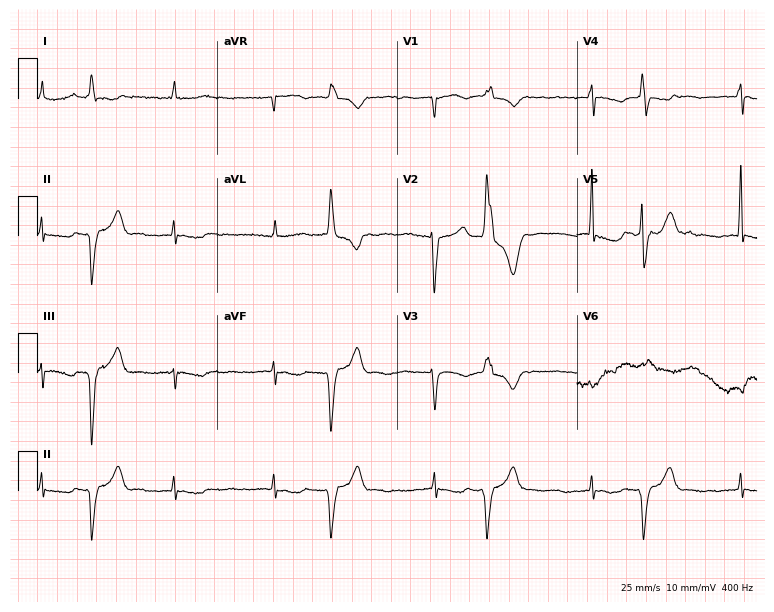
Electrocardiogram (7.3-second recording at 400 Hz), an 83-year-old female. Of the six screened findings (first-degree AV block, right bundle branch block (RBBB), left bundle branch block (LBBB), sinus bradycardia, atrial fibrillation (AF), sinus tachycardia), none is recorded. Only these six findings were labelled.